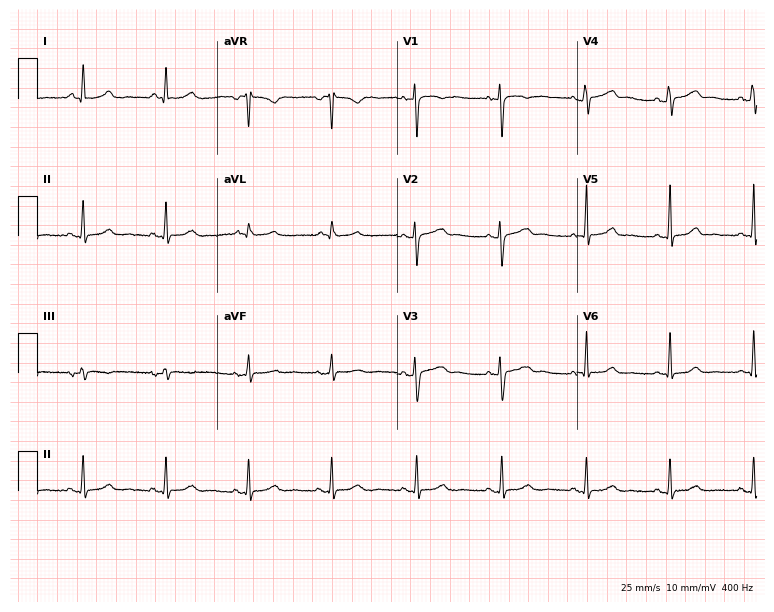
12-lead ECG from a 58-year-old woman (7.3-second recording at 400 Hz). Recorded interpretation: within normal limits.